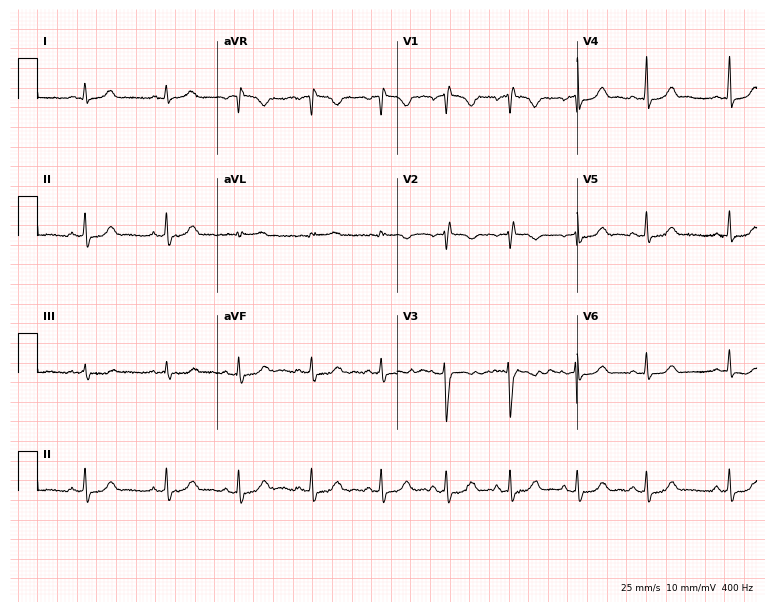
Electrocardiogram, a 17-year-old female. Of the six screened findings (first-degree AV block, right bundle branch block, left bundle branch block, sinus bradycardia, atrial fibrillation, sinus tachycardia), none is recorded. Other findings, if any, are not listed.